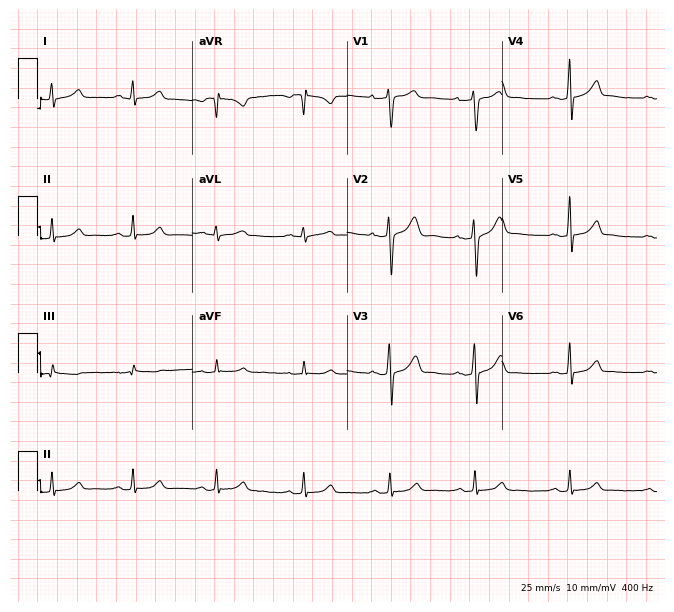
Resting 12-lead electrocardiogram (6.3-second recording at 400 Hz). Patient: a female, 36 years old. Read as a normal ECG.